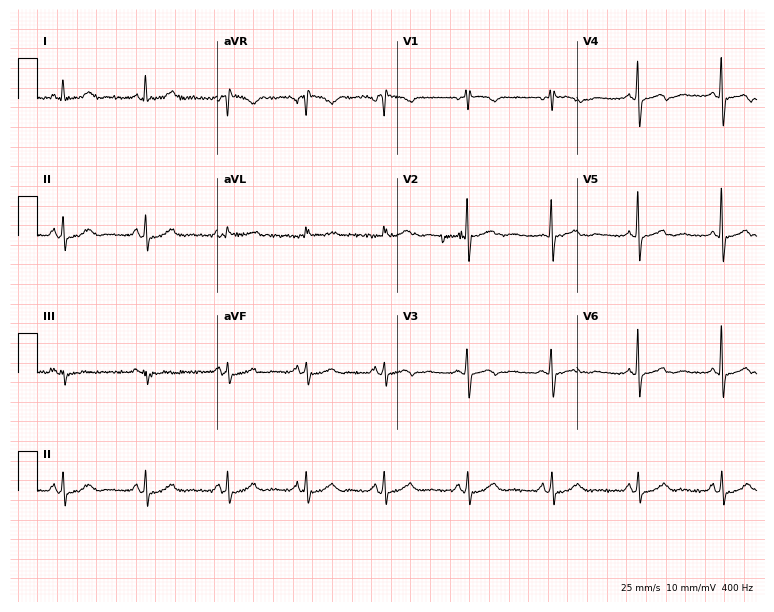
Standard 12-lead ECG recorded from a female, 69 years old. None of these six findings is recorded: first-degree AV block, right bundle branch block, left bundle branch block, sinus bradycardia, atrial fibrillation, sinus tachycardia.